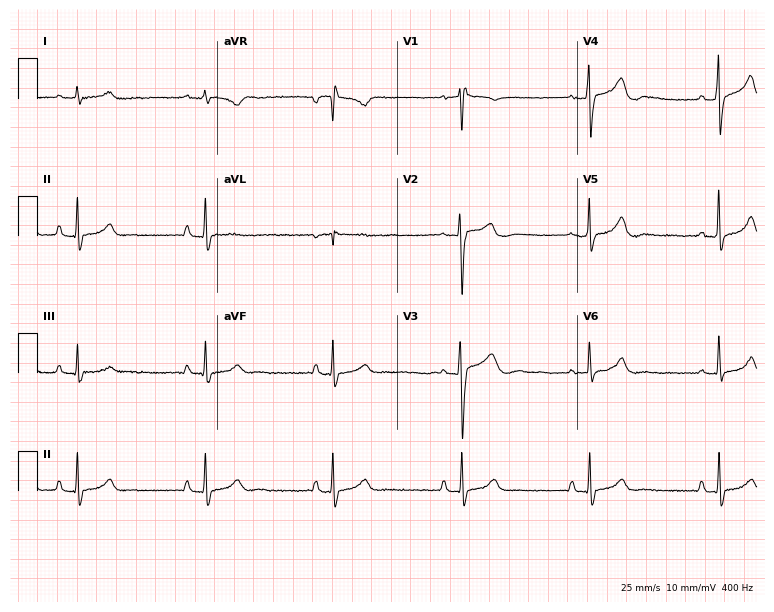
ECG (7.3-second recording at 400 Hz) — a man, 32 years old. Findings include sinus bradycardia (a sinus rate of 50 beats per minute or less).